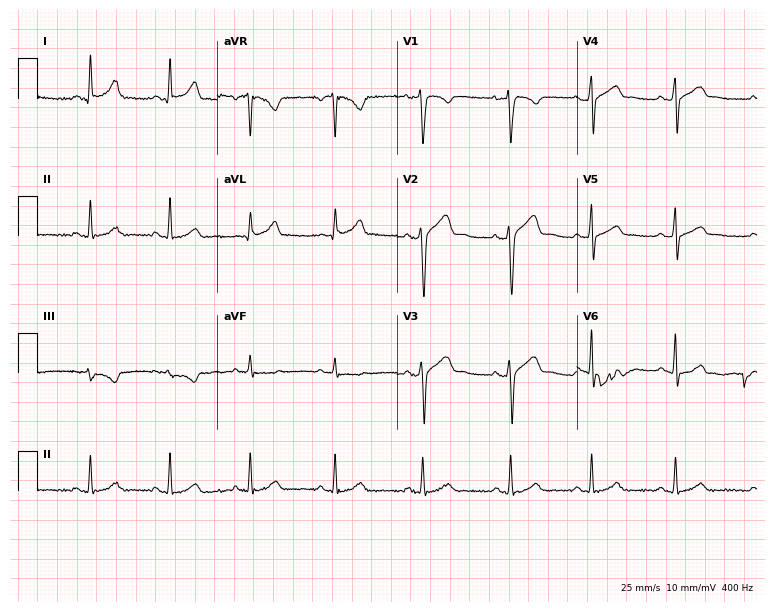
Electrocardiogram, a 37-year-old male patient. Of the six screened findings (first-degree AV block, right bundle branch block (RBBB), left bundle branch block (LBBB), sinus bradycardia, atrial fibrillation (AF), sinus tachycardia), none is recorded. Only these six findings were labelled.